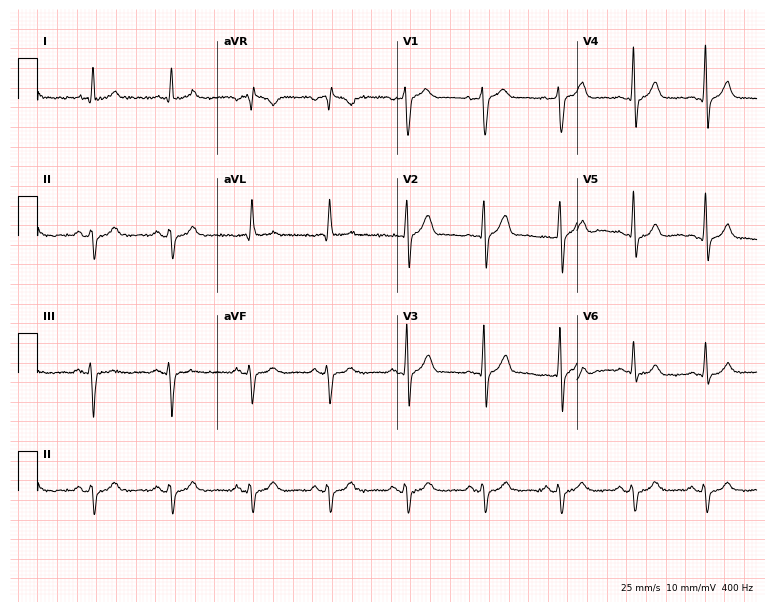
ECG — a man, 64 years old. Screened for six findings — first-degree AV block, right bundle branch block, left bundle branch block, sinus bradycardia, atrial fibrillation, sinus tachycardia — none is recorded.